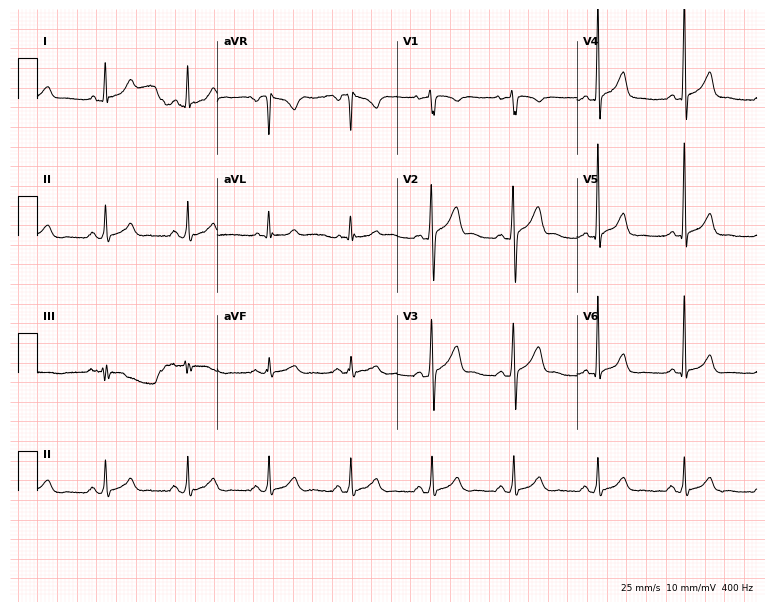
12-lead ECG from a 34-year-old male patient. Labelled as a normal ECG.